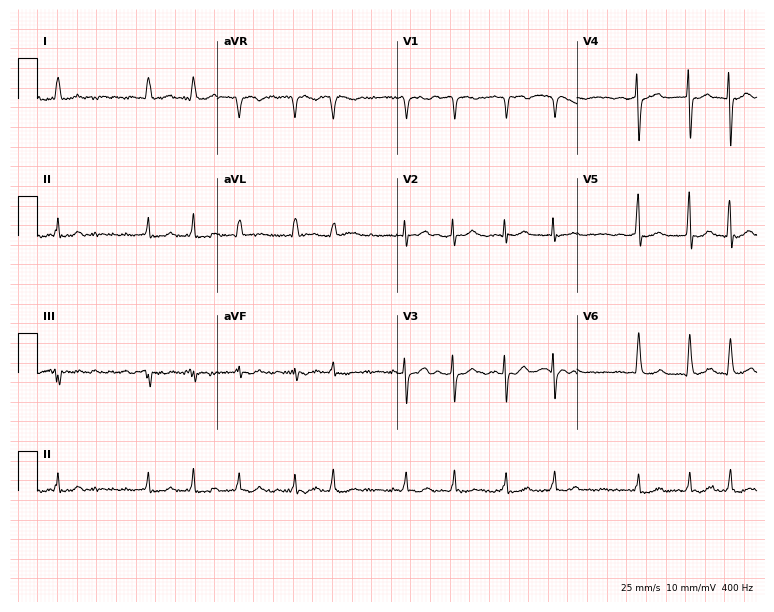
12-lead ECG from an 80-year-old female patient (7.3-second recording at 400 Hz). Shows atrial fibrillation.